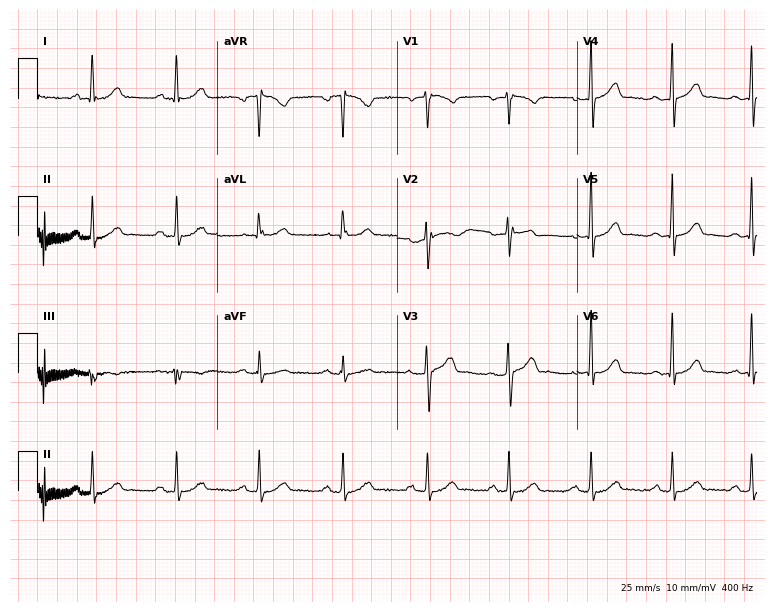
Standard 12-lead ECG recorded from a 44-year-old man. Read as a normal ECG.